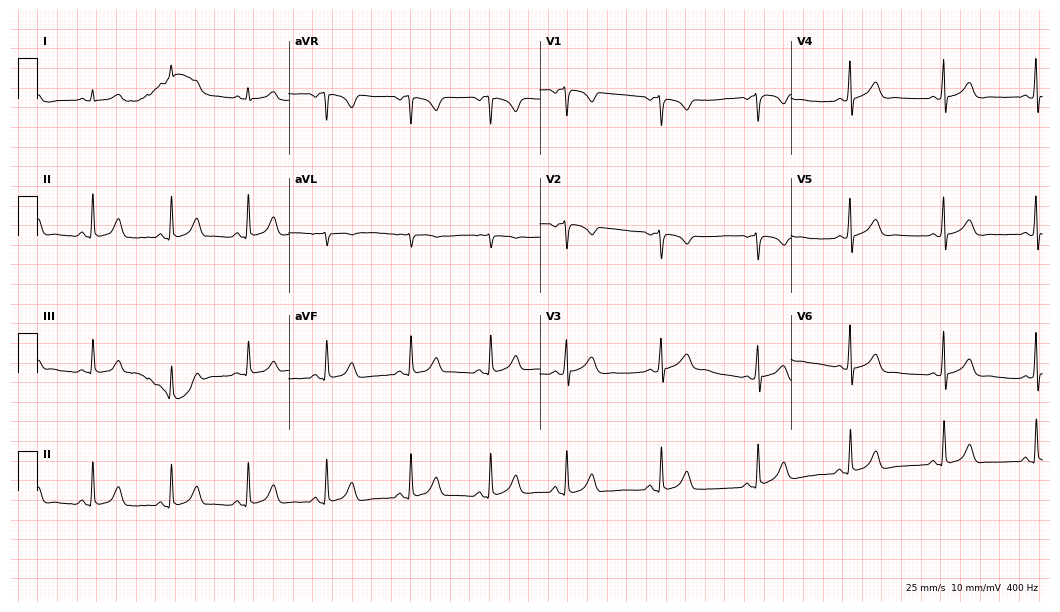
Electrocardiogram (10.2-second recording at 400 Hz), a 35-year-old female patient. Overall reading on record: normal ECG.